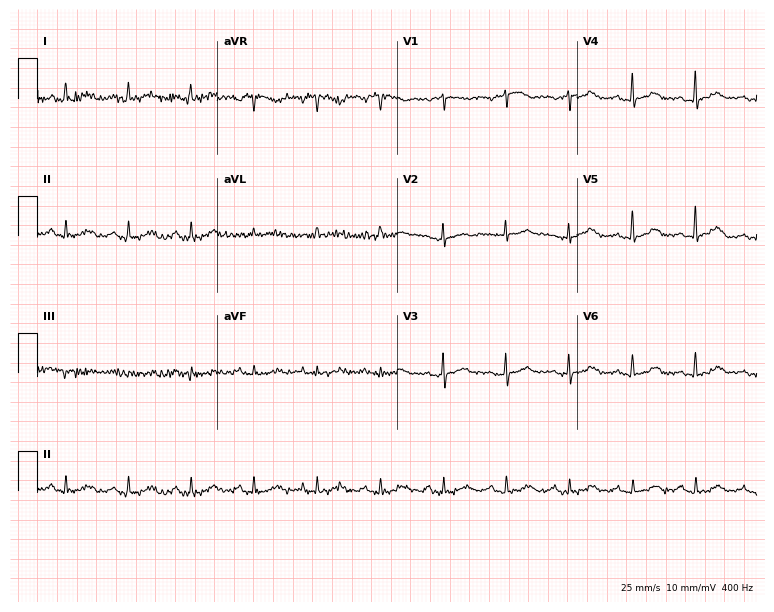
12-lead ECG from a female, 70 years old. Recorded interpretation: within normal limits.